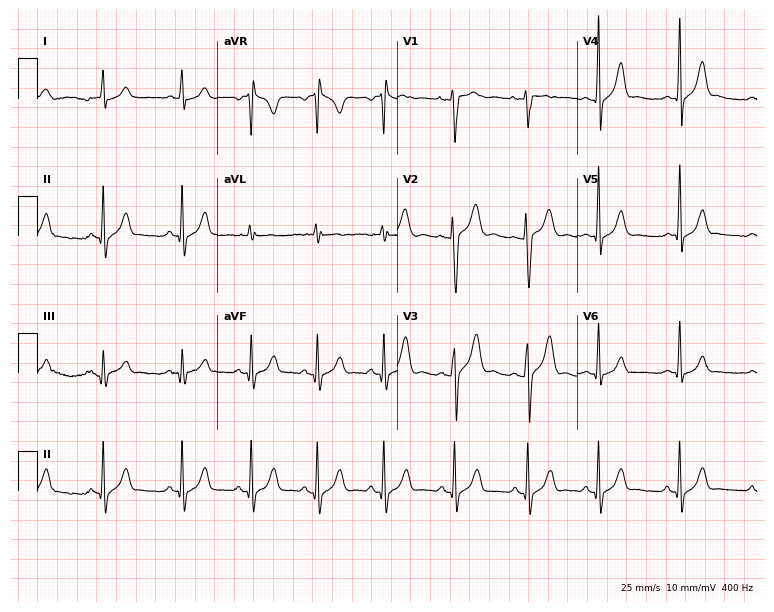
Electrocardiogram (7.3-second recording at 400 Hz), a male, 17 years old. Overall reading on record: normal ECG.